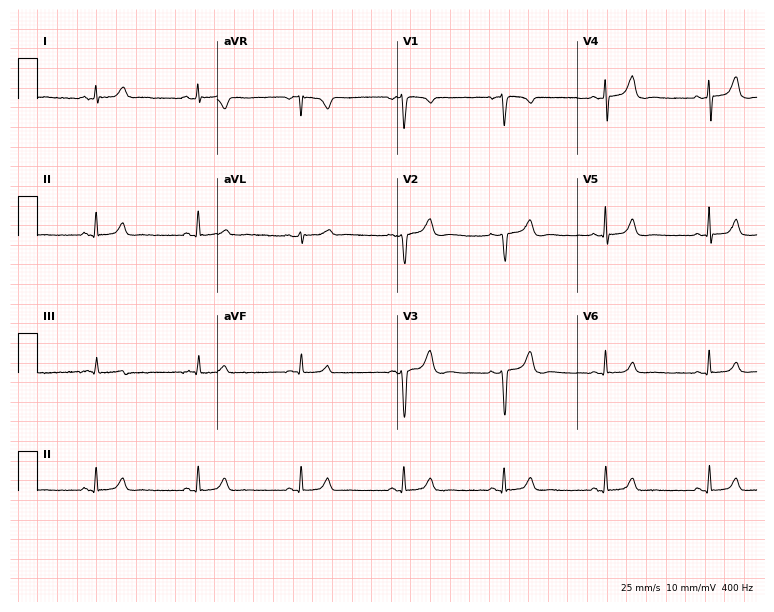
Standard 12-lead ECG recorded from a 37-year-old female patient (7.3-second recording at 400 Hz). None of these six findings is recorded: first-degree AV block, right bundle branch block, left bundle branch block, sinus bradycardia, atrial fibrillation, sinus tachycardia. Other findings, if any, are not listed.